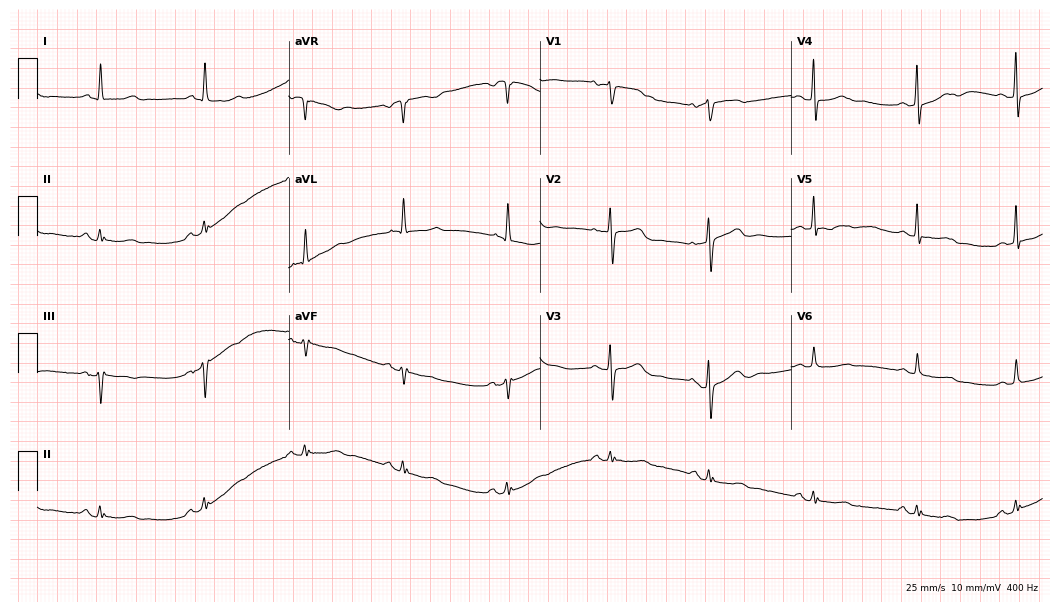
12-lead ECG from an 85-year-old female. No first-degree AV block, right bundle branch block (RBBB), left bundle branch block (LBBB), sinus bradycardia, atrial fibrillation (AF) or sinus tachycardia recorded for this tracing. Other findings, if any, are not listed.